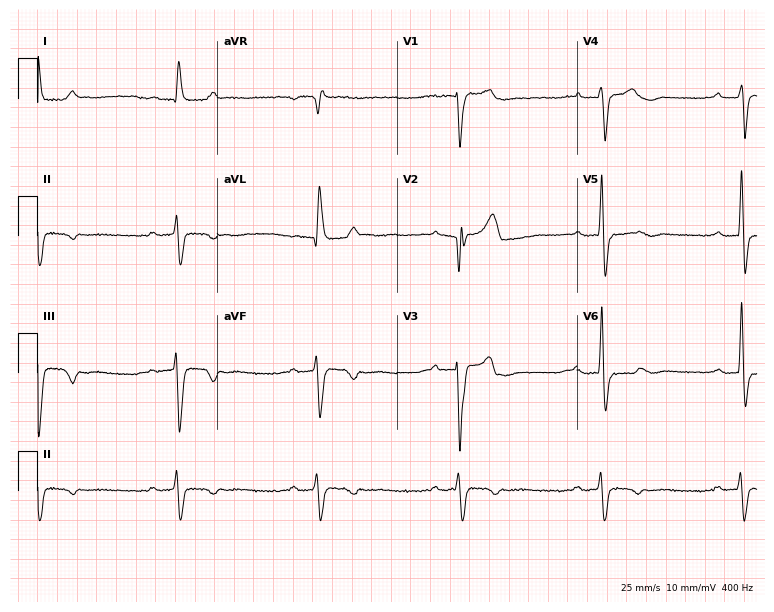
ECG — a male, 72 years old. Findings include first-degree AV block, right bundle branch block (RBBB).